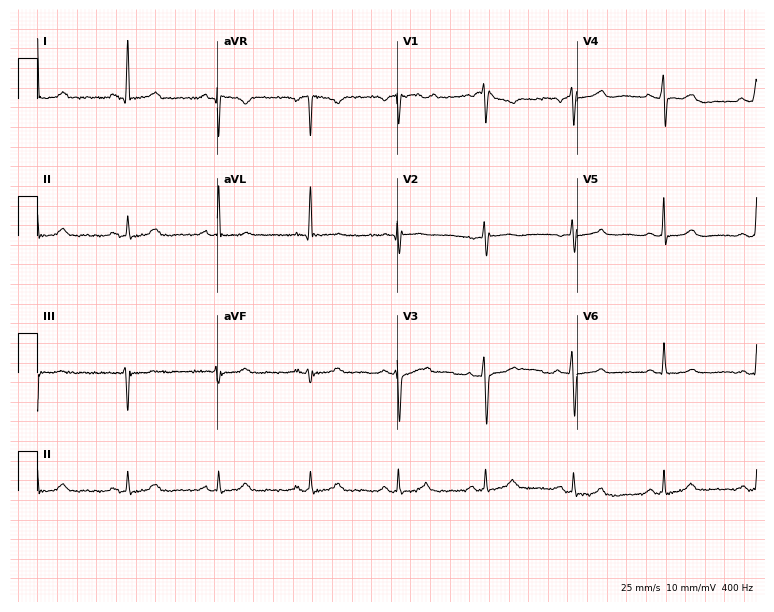
12-lead ECG from a 50-year-old woman. Labelled as a normal ECG.